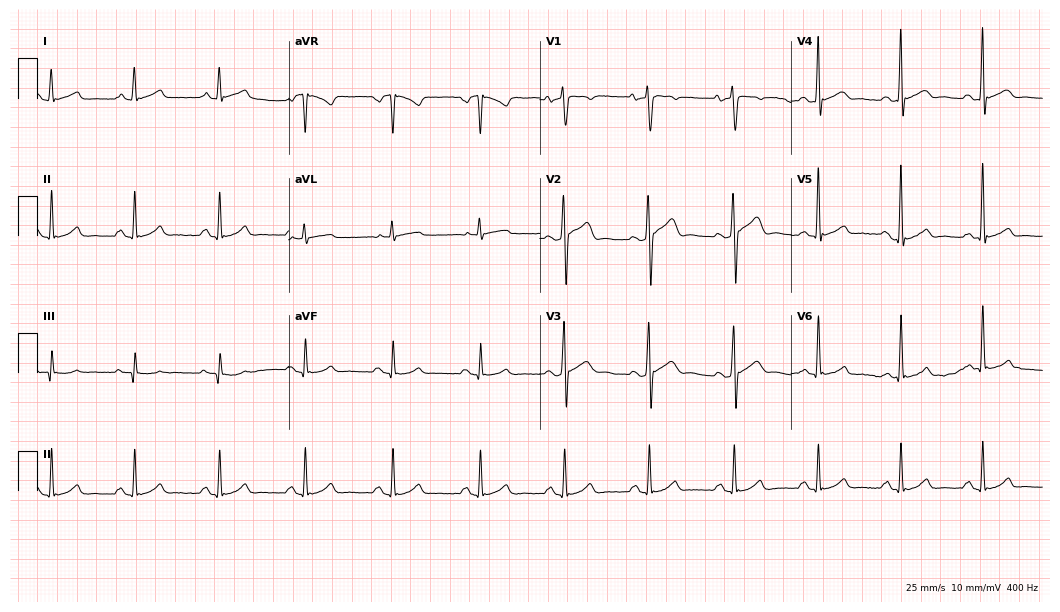
12-lead ECG (10.2-second recording at 400 Hz) from a male patient, 48 years old. Labelled as a normal ECG.